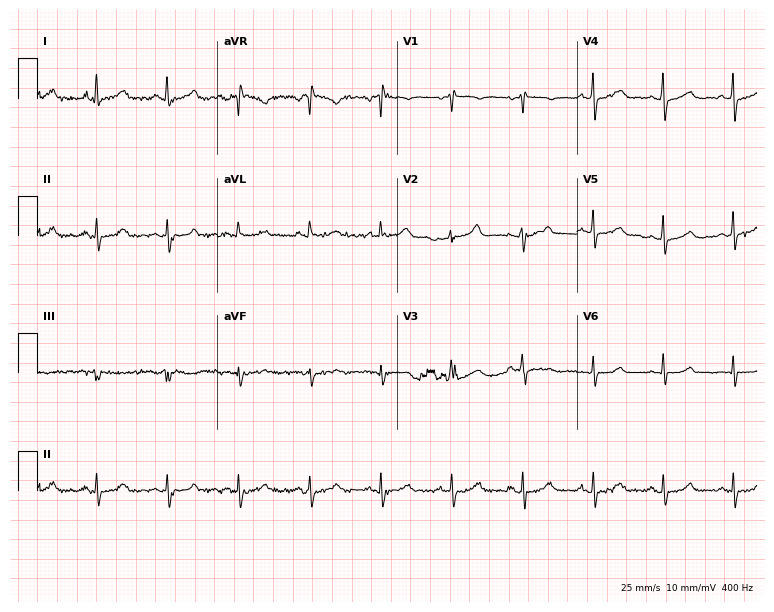
Standard 12-lead ECG recorded from a 62-year-old female. None of these six findings is recorded: first-degree AV block, right bundle branch block, left bundle branch block, sinus bradycardia, atrial fibrillation, sinus tachycardia.